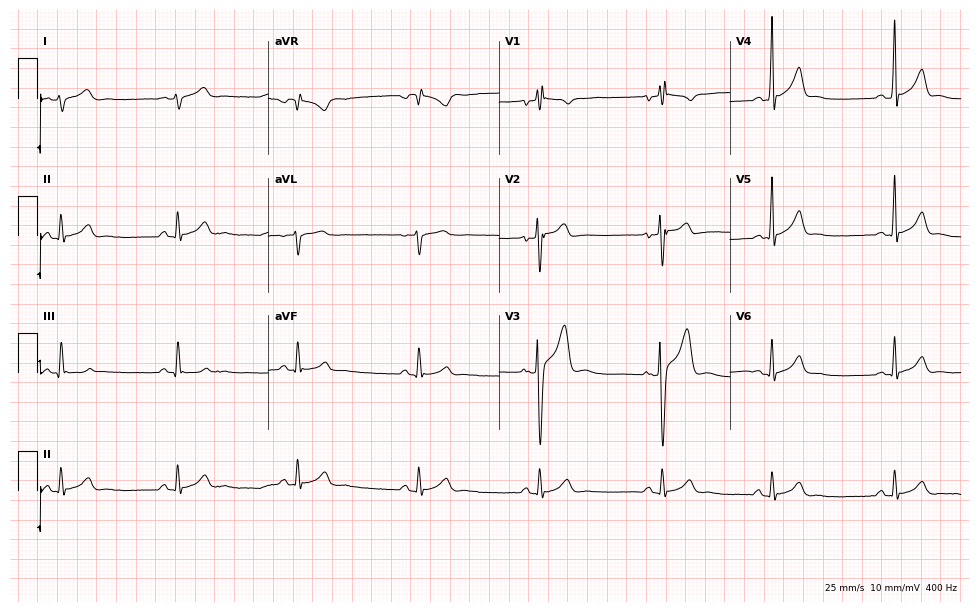
ECG (9.4-second recording at 400 Hz) — a 20-year-old man. Labelled as a normal ECG.